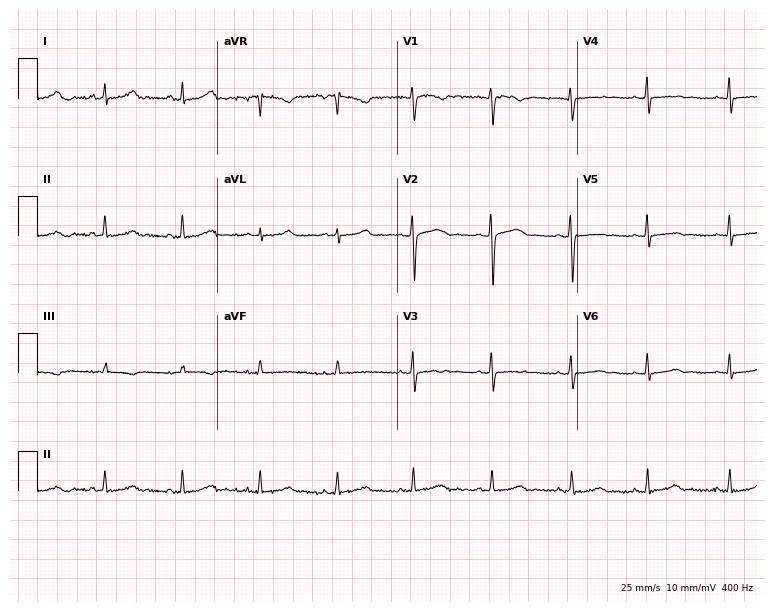
Electrocardiogram (7.3-second recording at 400 Hz), a woman, 40 years old. Of the six screened findings (first-degree AV block, right bundle branch block, left bundle branch block, sinus bradycardia, atrial fibrillation, sinus tachycardia), none is recorded. Only these six findings were labelled.